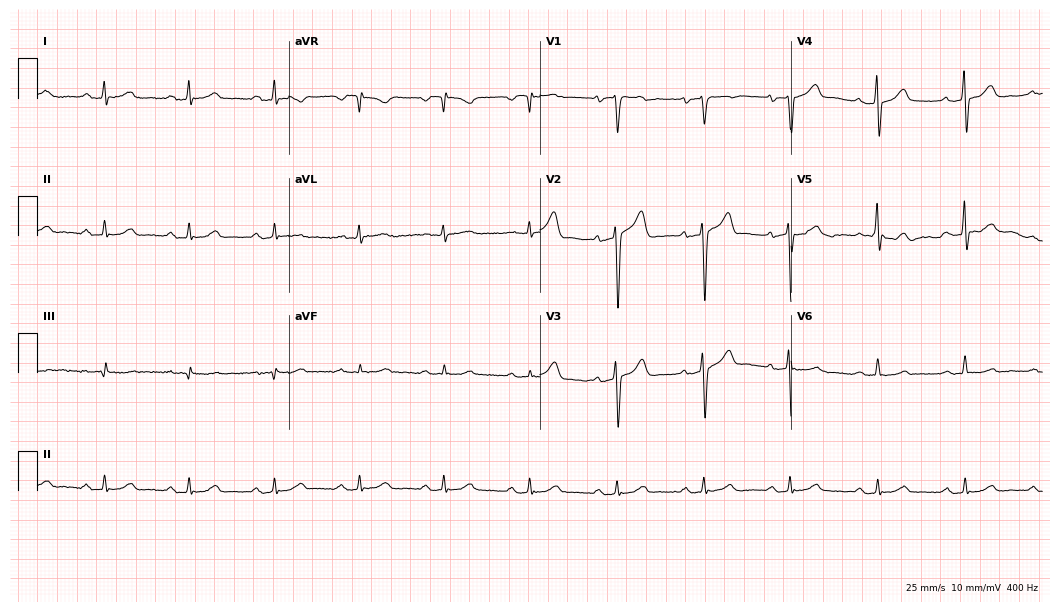
12-lead ECG (10.2-second recording at 400 Hz) from a male patient, 50 years old. Labelled as a normal ECG.